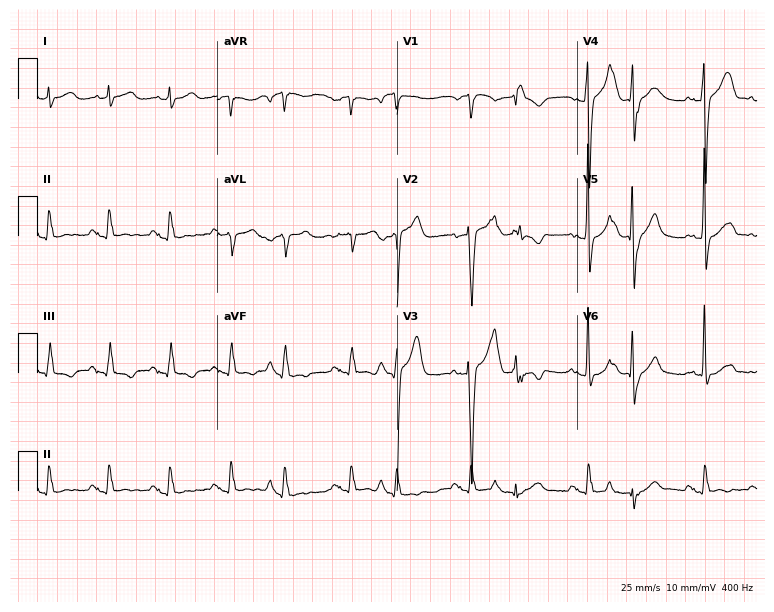
ECG — a 71-year-old male. Screened for six findings — first-degree AV block, right bundle branch block, left bundle branch block, sinus bradycardia, atrial fibrillation, sinus tachycardia — none is recorded. Other findings, if any, are not listed.